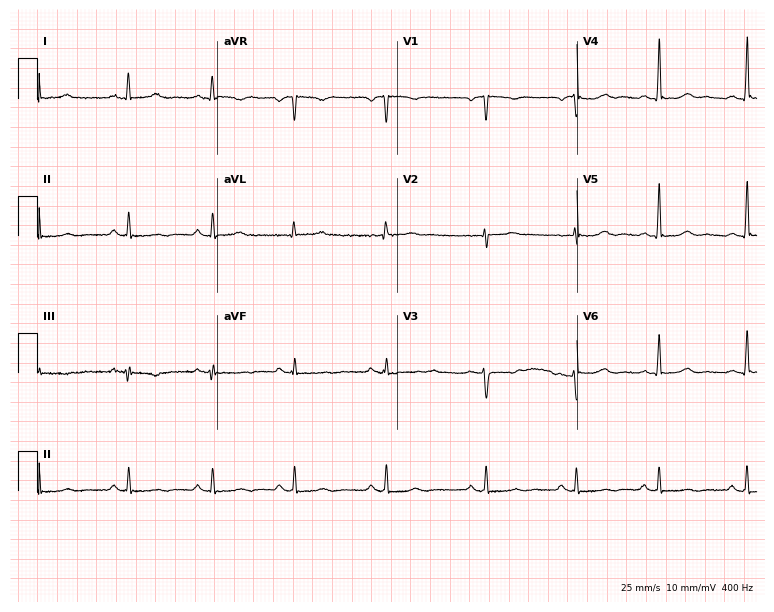
Resting 12-lead electrocardiogram. Patient: a female, 30 years old. None of these six findings is recorded: first-degree AV block, right bundle branch block, left bundle branch block, sinus bradycardia, atrial fibrillation, sinus tachycardia. Only these six findings were labelled.